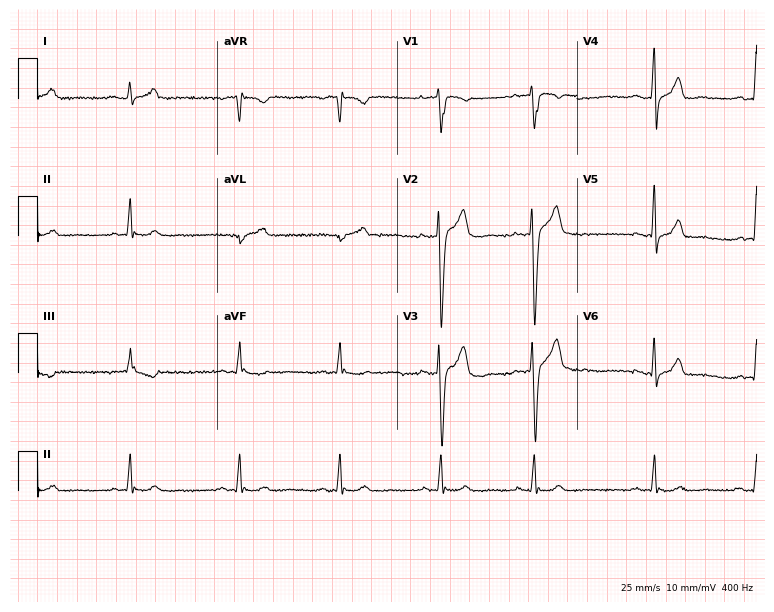
ECG (7.3-second recording at 400 Hz) — a male patient, 24 years old. Screened for six findings — first-degree AV block, right bundle branch block, left bundle branch block, sinus bradycardia, atrial fibrillation, sinus tachycardia — none is recorded. Findings outside these six are not listed.